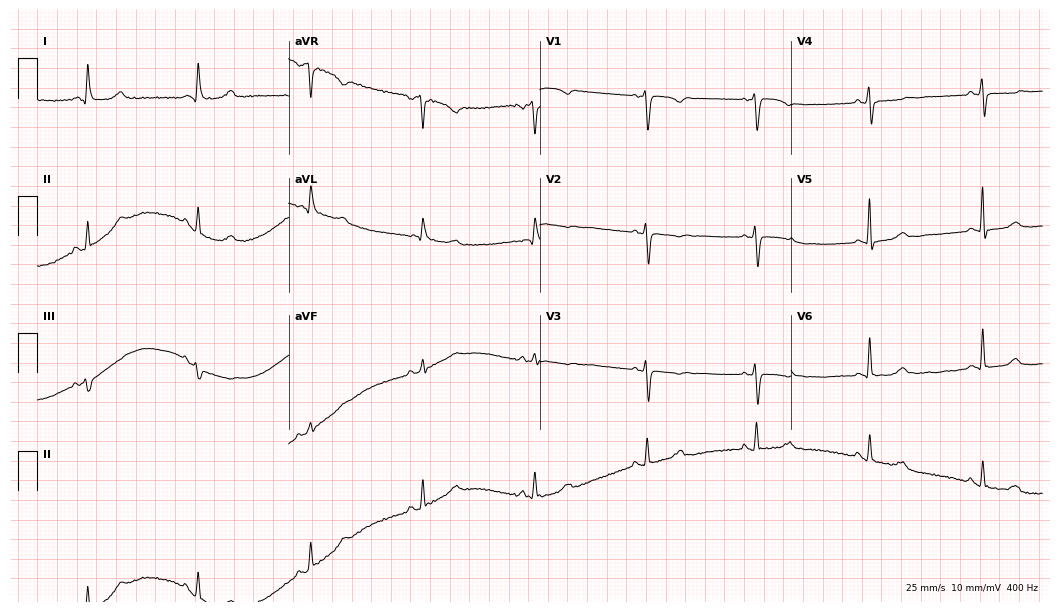
Resting 12-lead electrocardiogram (10.2-second recording at 400 Hz). Patient: a female, 71 years old. Read as a normal ECG.